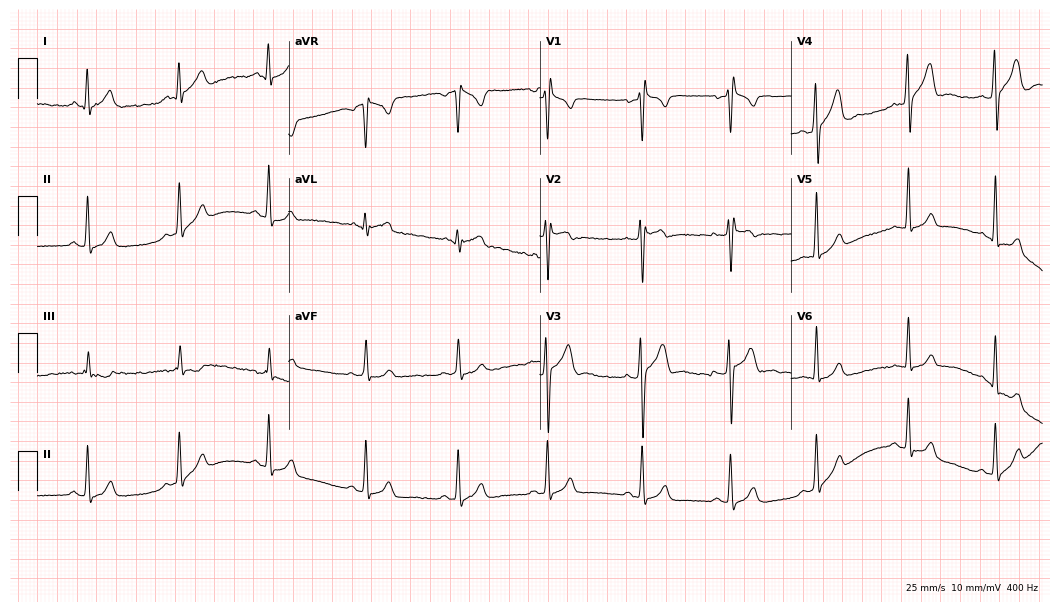
Standard 12-lead ECG recorded from a 21-year-old man (10.2-second recording at 400 Hz). None of these six findings is recorded: first-degree AV block, right bundle branch block (RBBB), left bundle branch block (LBBB), sinus bradycardia, atrial fibrillation (AF), sinus tachycardia. Findings outside these six are not listed.